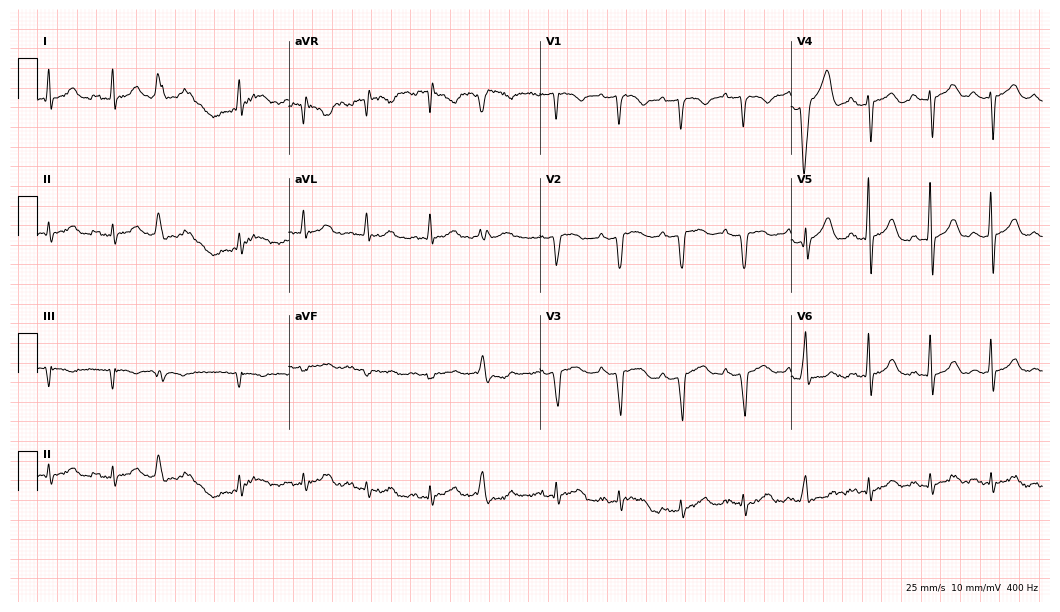
12-lead ECG from an 82-year-old male patient (10.2-second recording at 400 Hz). No first-degree AV block, right bundle branch block, left bundle branch block, sinus bradycardia, atrial fibrillation or sinus tachycardia recorded for this tracing. Other findings, if any, are not listed.